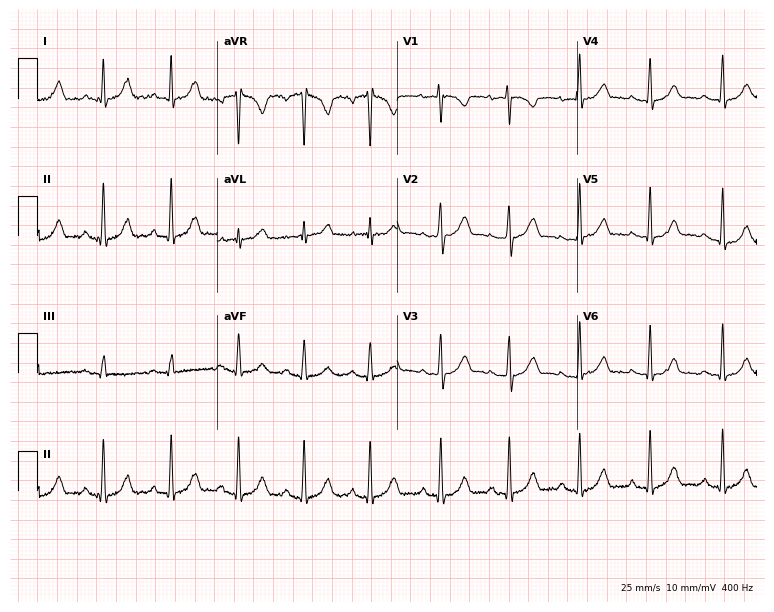
ECG — a 40-year-old female. Labelled as a normal ECG.